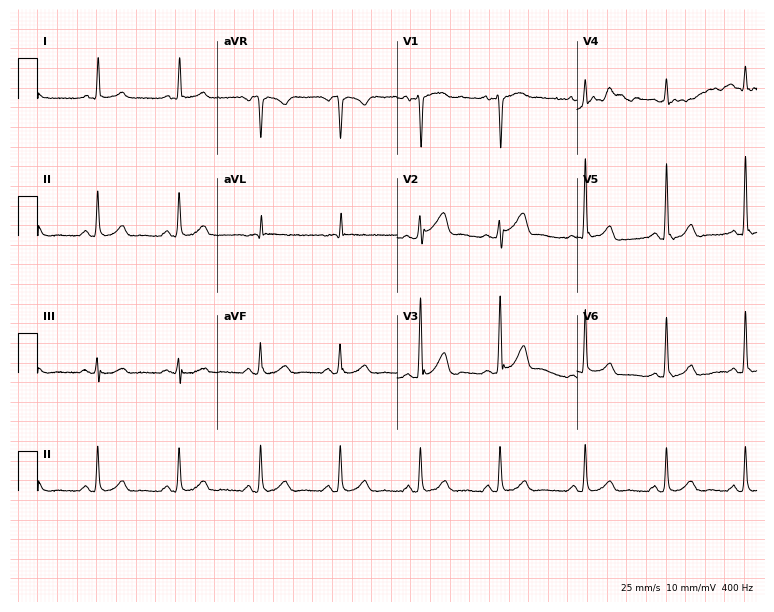
Resting 12-lead electrocardiogram (7.3-second recording at 400 Hz). Patient: a male, 65 years old. None of these six findings is recorded: first-degree AV block, right bundle branch block (RBBB), left bundle branch block (LBBB), sinus bradycardia, atrial fibrillation (AF), sinus tachycardia.